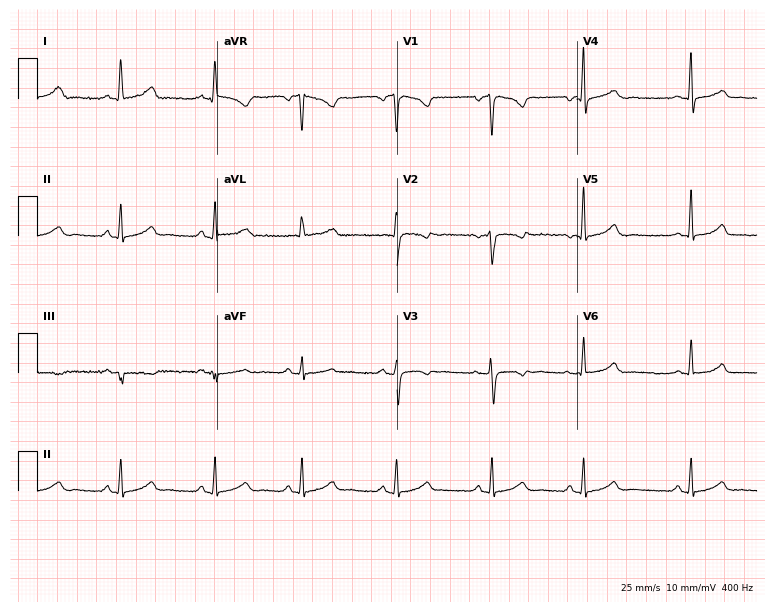
Resting 12-lead electrocardiogram. Patient: a female, 41 years old. Read as a normal ECG.